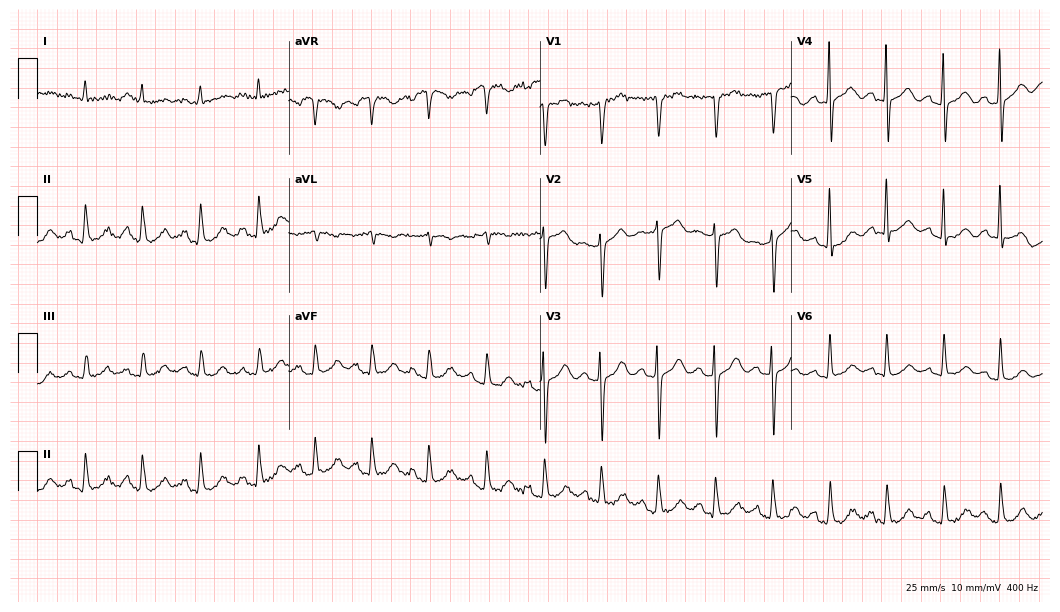
Standard 12-lead ECG recorded from a woman, 78 years old (10.2-second recording at 400 Hz). The tracing shows sinus tachycardia (a sinus rate of 100 beats per minute or more).